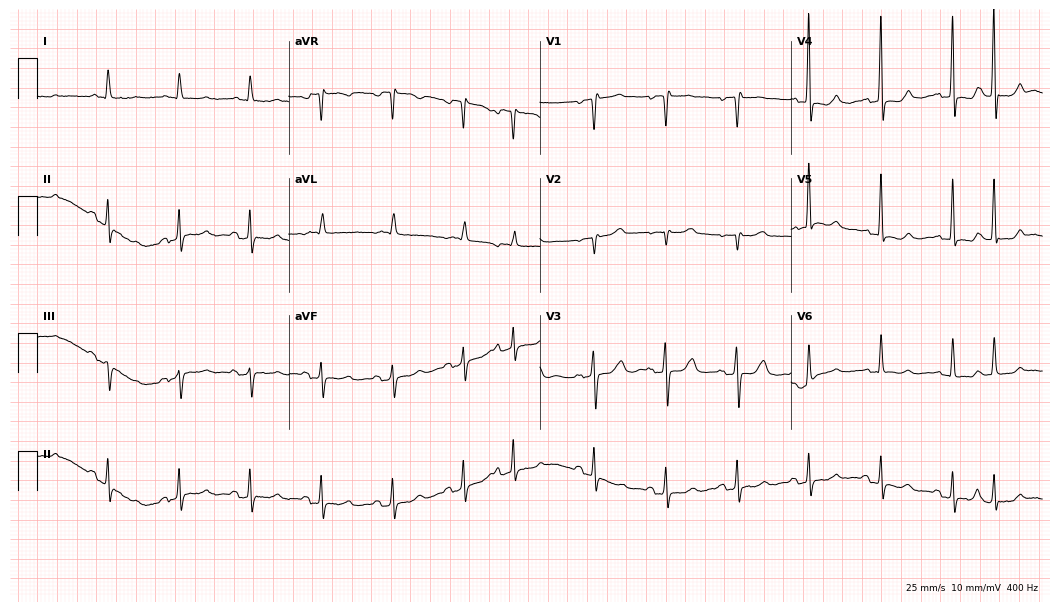
12-lead ECG from a 75-year-old female. No first-degree AV block, right bundle branch block (RBBB), left bundle branch block (LBBB), sinus bradycardia, atrial fibrillation (AF) or sinus tachycardia recorded for this tracing. Other findings, if any, are not listed.